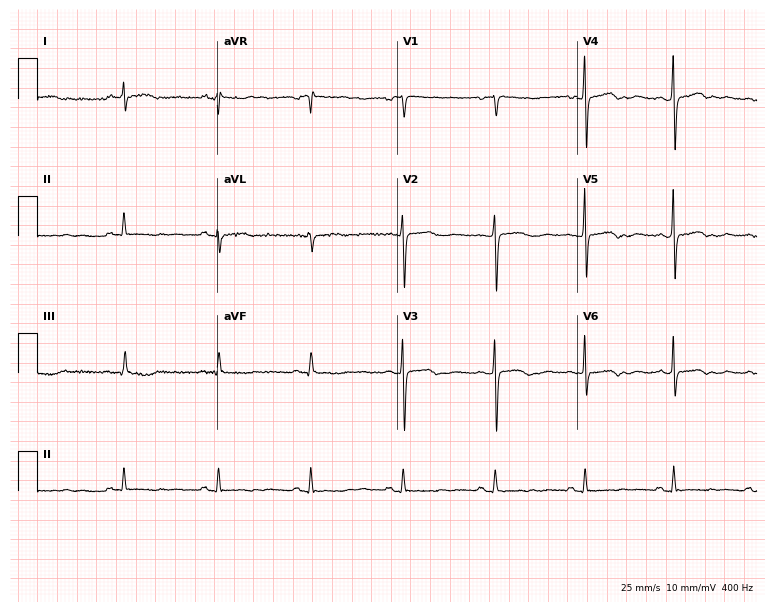
Resting 12-lead electrocardiogram. Patient: a 53-year-old female. None of these six findings is recorded: first-degree AV block, right bundle branch block, left bundle branch block, sinus bradycardia, atrial fibrillation, sinus tachycardia. Findings outside these six are not listed.